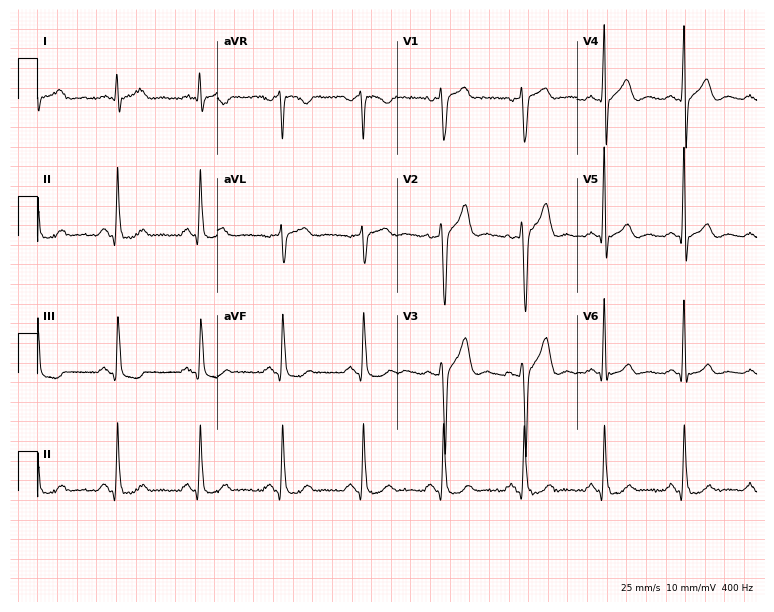
Standard 12-lead ECG recorded from a male, 53 years old. Read as a normal ECG.